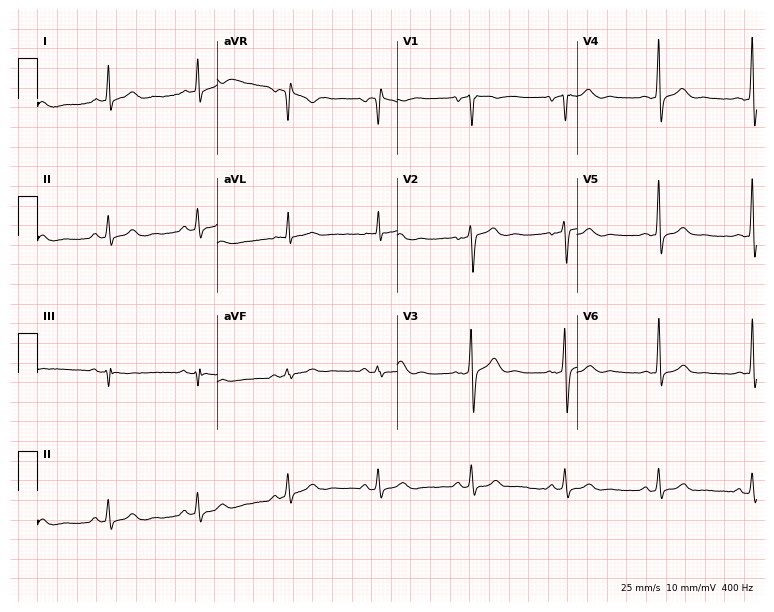
ECG — a 34-year-old male. Screened for six findings — first-degree AV block, right bundle branch block (RBBB), left bundle branch block (LBBB), sinus bradycardia, atrial fibrillation (AF), sinus tachycardia — none is recorded.